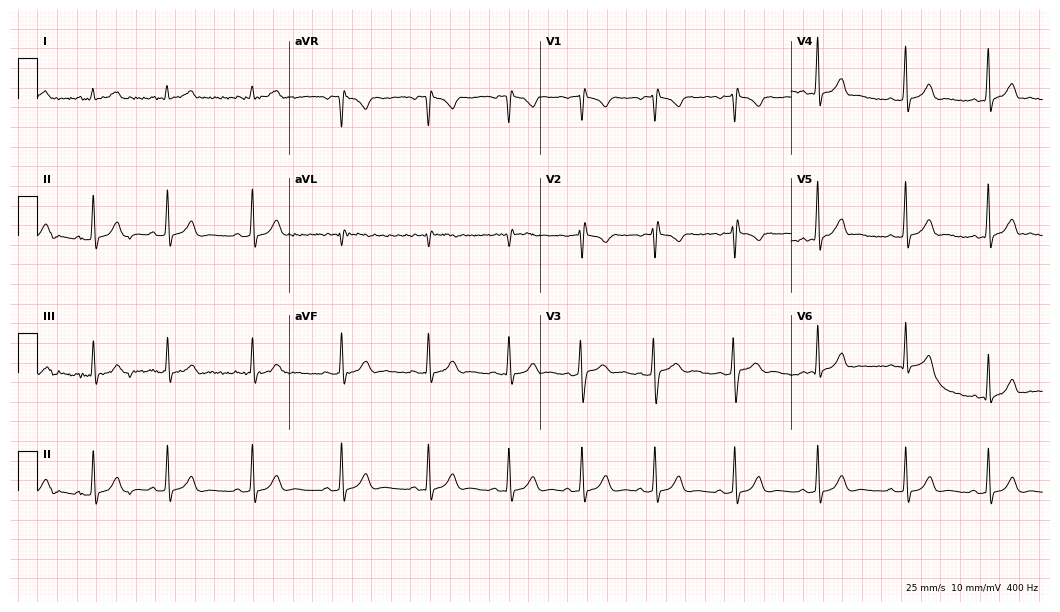
ECG — a man, 18 years old. Screened for six findings — first-degree AV block, right bundle branch block (RBBB), left bundle branch block (LBBB), sinus bradycardia, atrial fibrillation (AF), sinus tachycardia — none is recorded. Only these six findings were labelled.